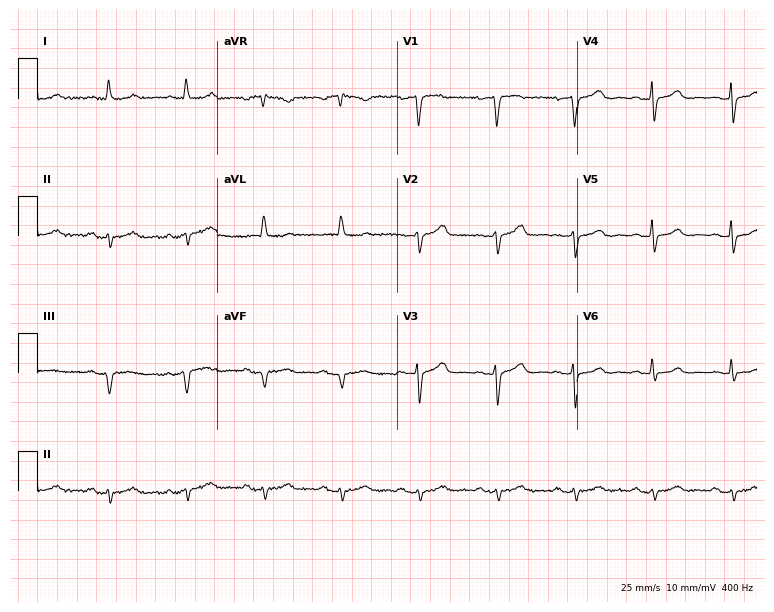
Standard 12-lead ECG recorded from a male, 74 years old. None of these six findings is recorded: first-degree AV block, right bundle branch block, left bundle branch block, sinus bradycardia, atrial fibrillation, sinus tachycardia.